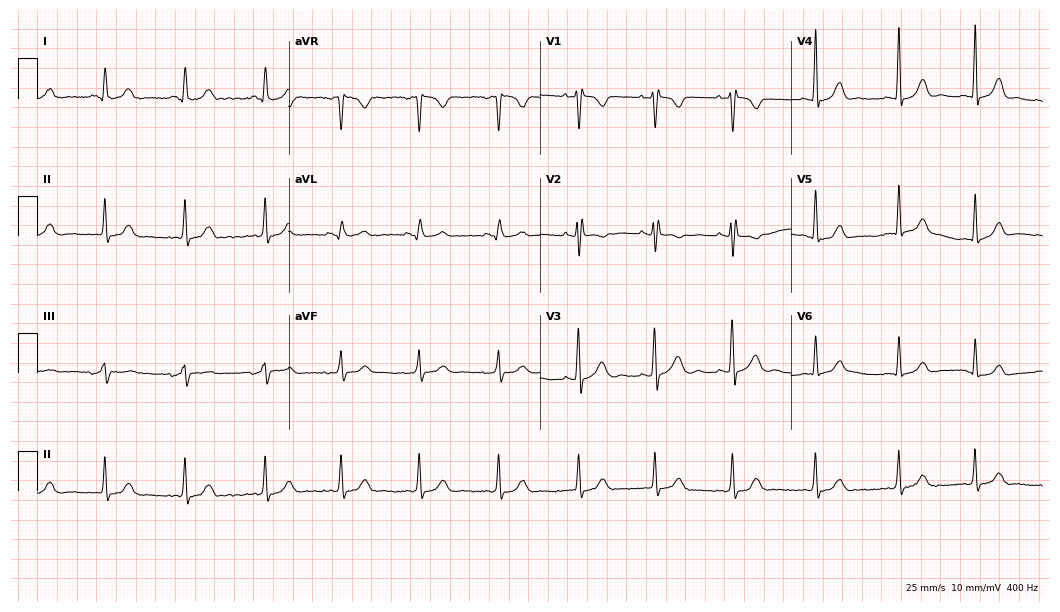
ECG — a female, 25 years old. Labelled as a normal ECG.